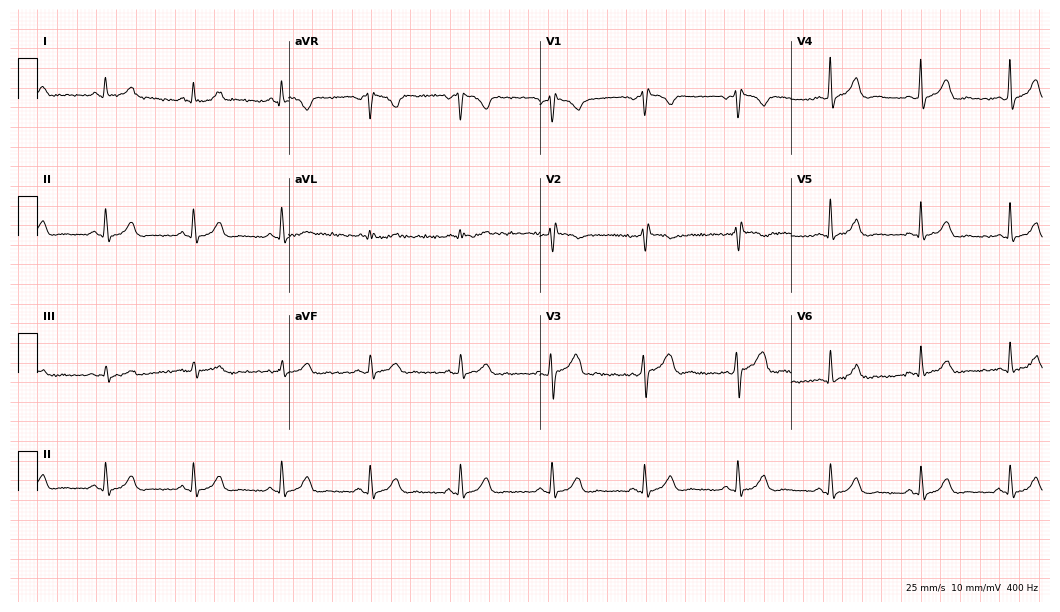
Standard 12-lead ECG recorded from a man, 54 years old. Read as a normal ECG.